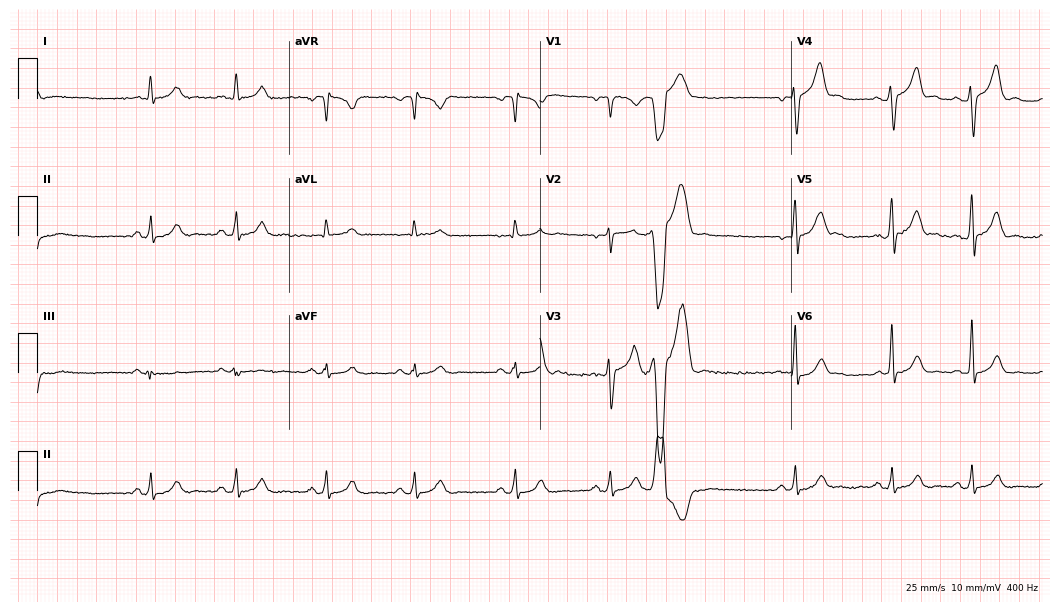
Resting 12-lead electrocardiogram. Patient: a 22-year-old male. None of these six findings is recorded: first-degree AV block, right bundle branch block, left bundle branch block, sinus bradycardia, atrial fibrillation, sinus tachycardia. Findings outside these six are not listed.